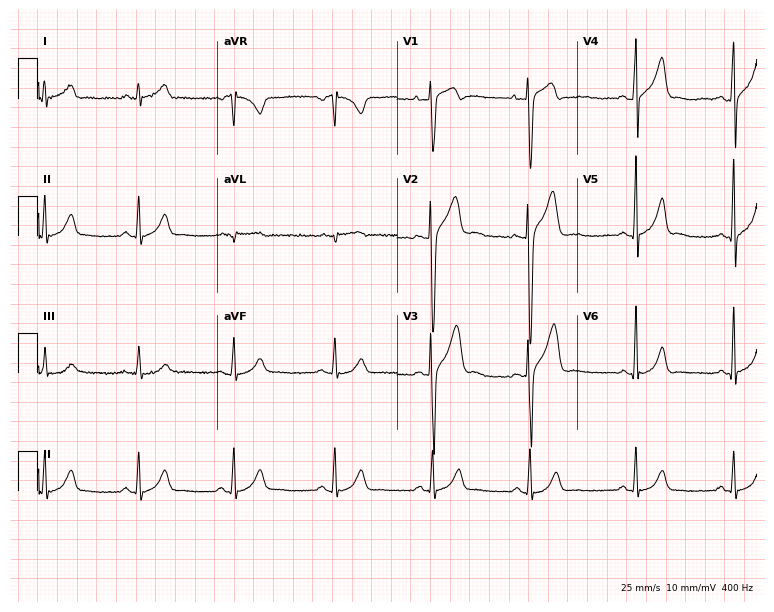
12-lead ECG from a 33-year-old male patient. No first-degree AV block, right bundle branch block, left bundle branch block, sinus bradycardia, atrial fibrillation or sinus tachycardia recorded for this tracing.